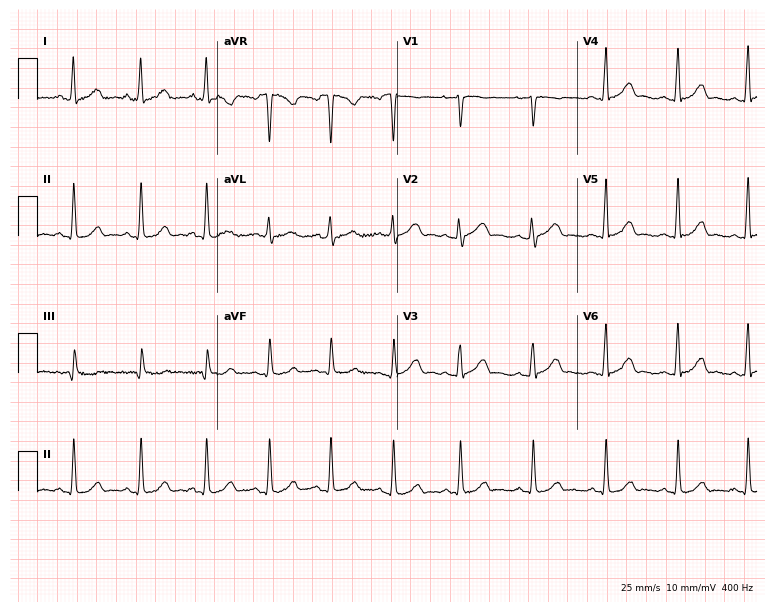
12-lead ECG (7.3-second recording at 400 Hz) from a 26-year-old female. Screened for six findings — first-degree AV block, right bundle branch block, left bundle branch block, sinus bradycardia, atrial fibrillation, sinus tachycardia — none is recorded. Only these six findings were labelled.